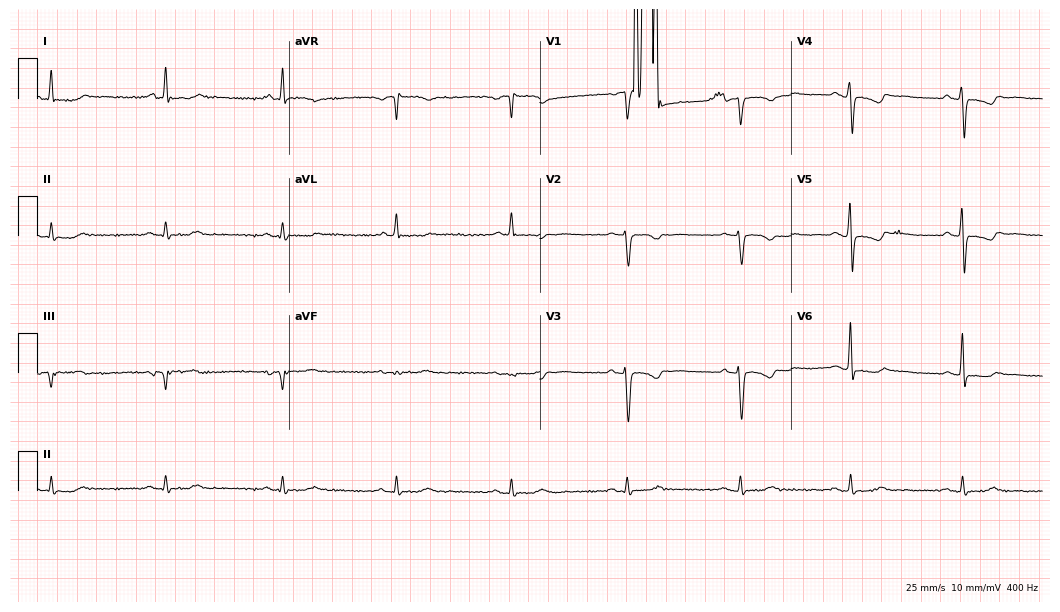
Resting 12-lead electrocardiogram. Patient: a female, 73 years old. None of these six findings is recorded: first-degree AV block, right bundle branch block, left bundle branch block, sinus bradycardia, atrial fibrillation, sinus tachycardia.